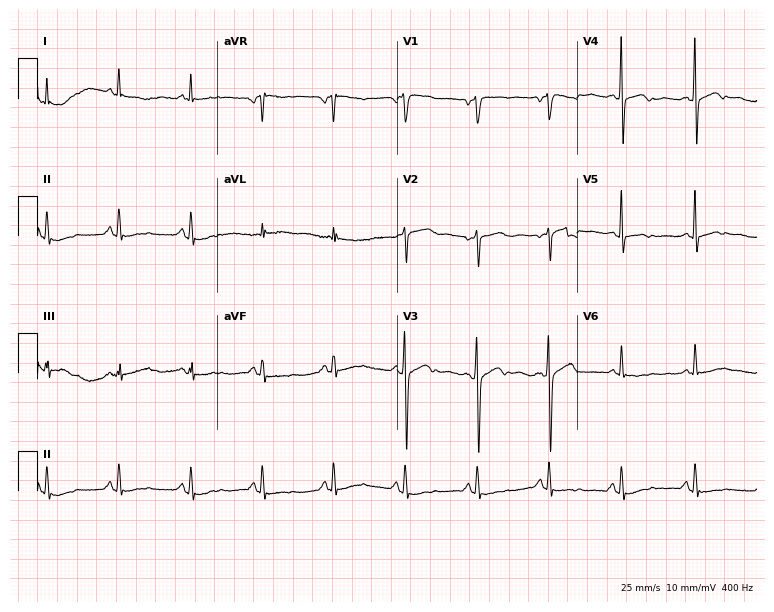
ECG — a woman, 46 years old. Labelled as a normal ECG.